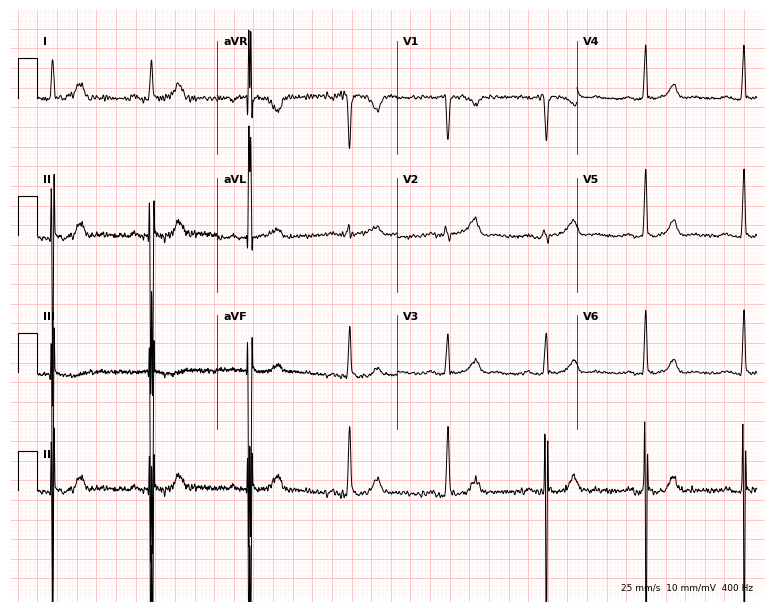
Standard 12-lead ECG recorded from a 58-year-old female patient (7.3-second recording at 400 Hz). None of these six findings is recorded: first-degree AV block, right bundle branch block (RBBB), left bundle branch block (LBBB), sinus bradycardia, atrial fibrillation (AF), sinus tachycardia.